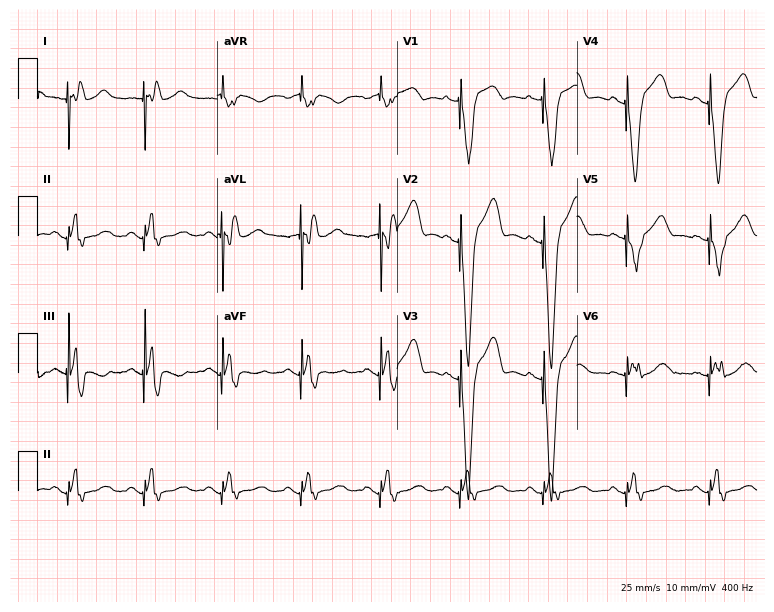
12-lead ECG from a woman, 55 years old. Screened for six findings — first-degree AV block, right bundle branch block (RBBB), left bundle branch block (LBBB), sinus bradycardia, atrial fibrillation (AF), sinus tachycardia — none is recorded.